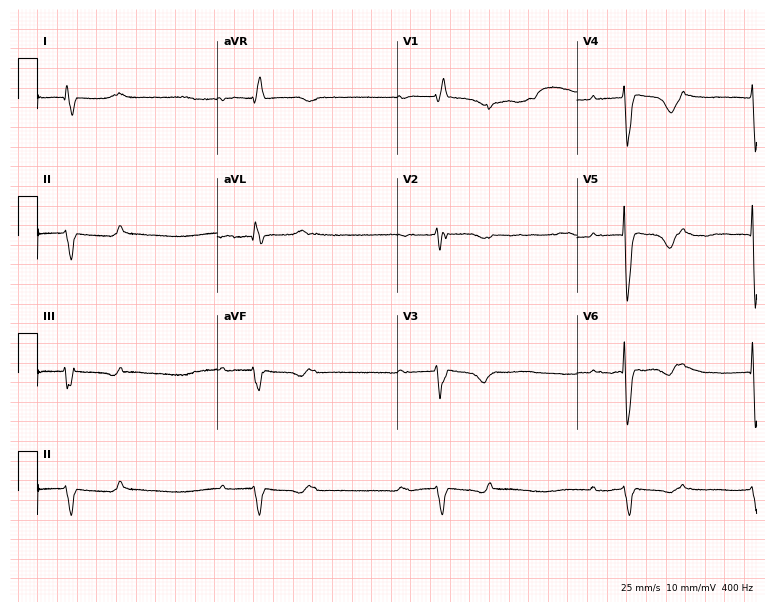
12-lead ECG (7.3-second recording at 400 Hz) from a 57-year-old female patient. Findings include right bundle branch block (RBBB).